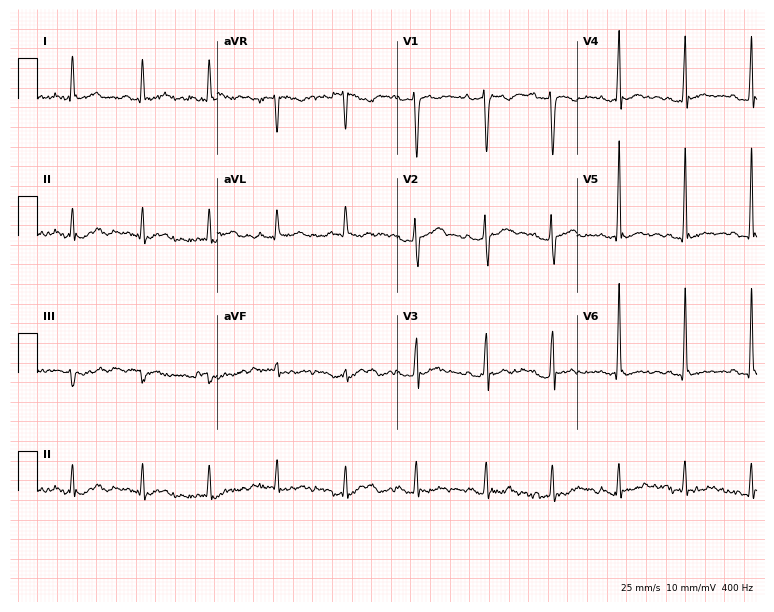
Resting 12-lead electrocardiogram. Patient: a female, 23 years old. None of these six findings is recorded: first-degree AV block, right bundle branch block, left bundle branch block, sinus bradycardia, atrial fibrillation, sinus tachycardia. Findings outside these six are not listed.